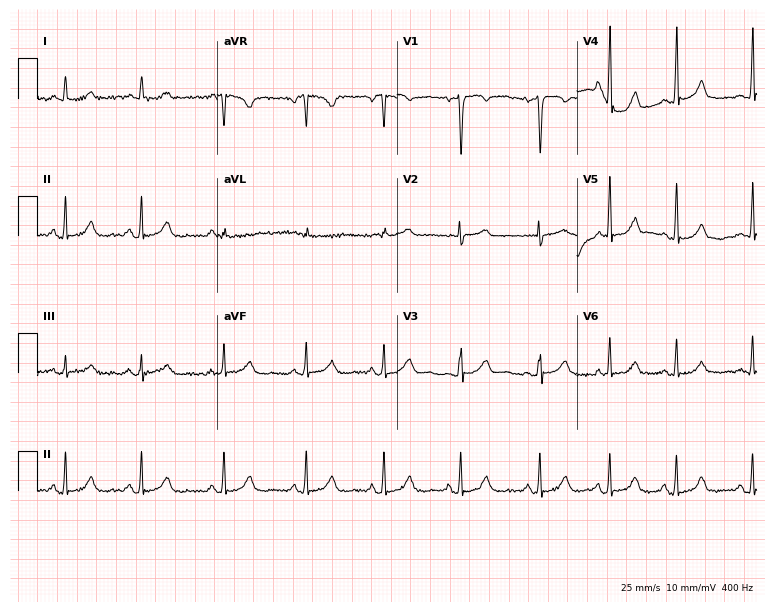
Electrocardiogram, a 35-year-old female. Overall reading on record: normal ECG.